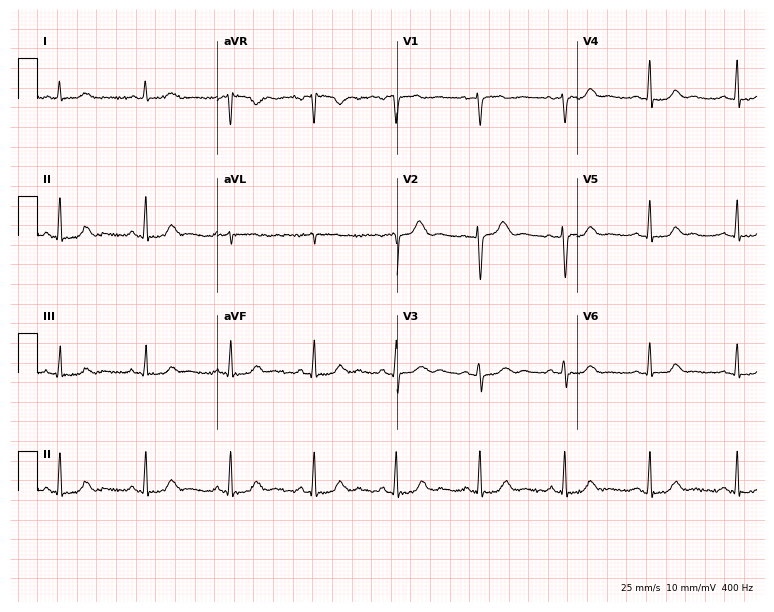
Resting 12-lead electrocardiogram (7.3-second recording at 400 Hz). Patient: a woman, 47 years old. Read as a normal ECG.